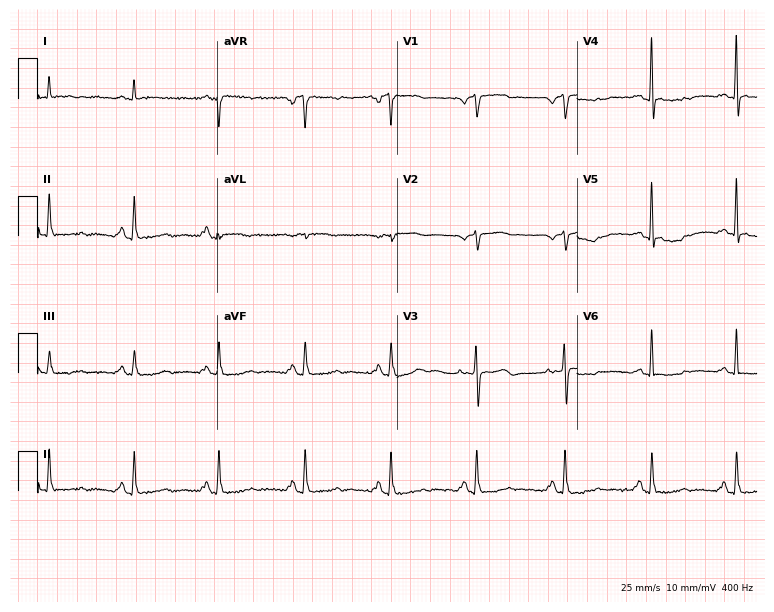
Resting 12-lead electrocardiogram. Patient: a female, 76 years old. None of these six findings is recorded: first-degree AV block, right bundle branch block, left bundle branch block, sinus bradycardia, atrial fibrillation, sinus tachycardia. Other findings, if any, are not listed.